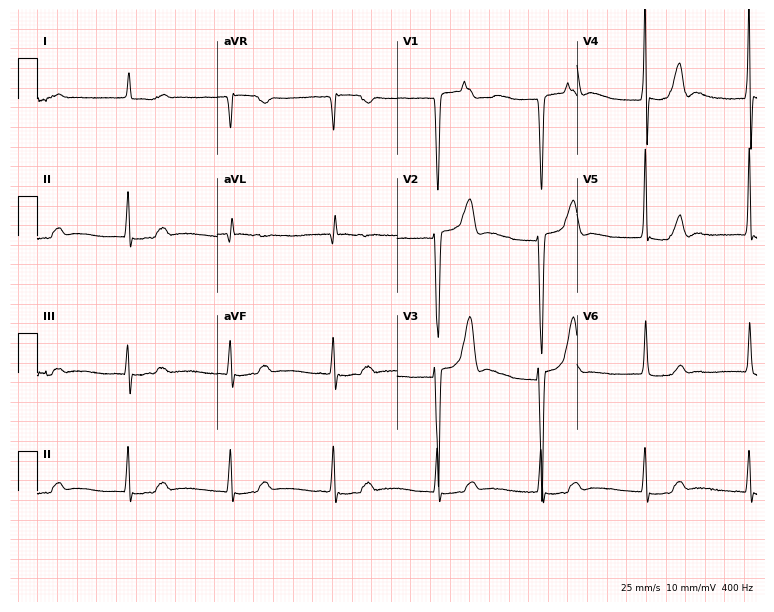
12-lead ECG from a female, 83 years old. Screened for six findings — first-degree AV block, right bundle branch block (RBBB), left bundle branch block (LBBB), sinus bradycardia, atrial fibrillation (AF), sinus tachycardia — none is recorded. Other findings, if any, are not listed.